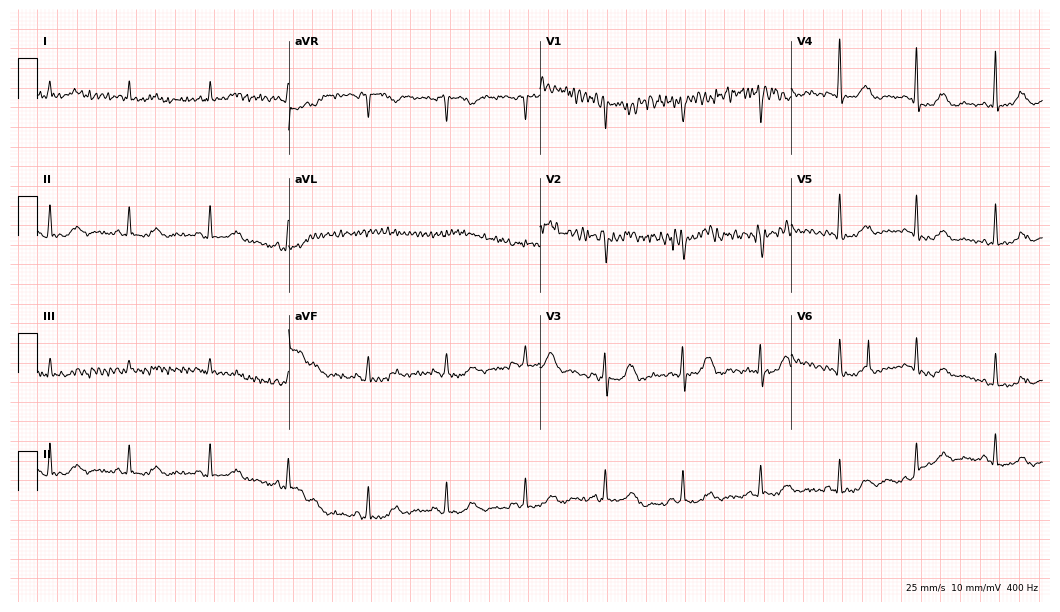
Electrocardiogram, a female patient, 79 years old. Overall reading on record: normal ECG.